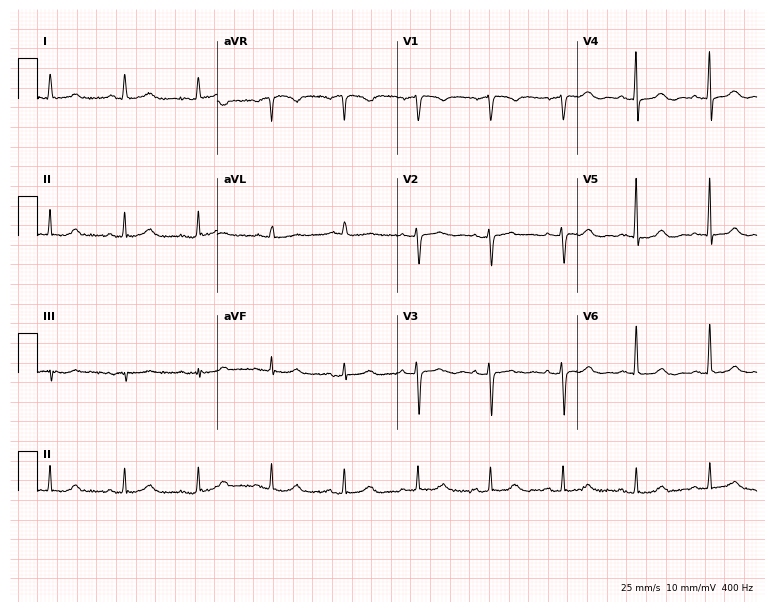
12-lead ECG from a 75-year-old female. Labelled as a normal ECG.